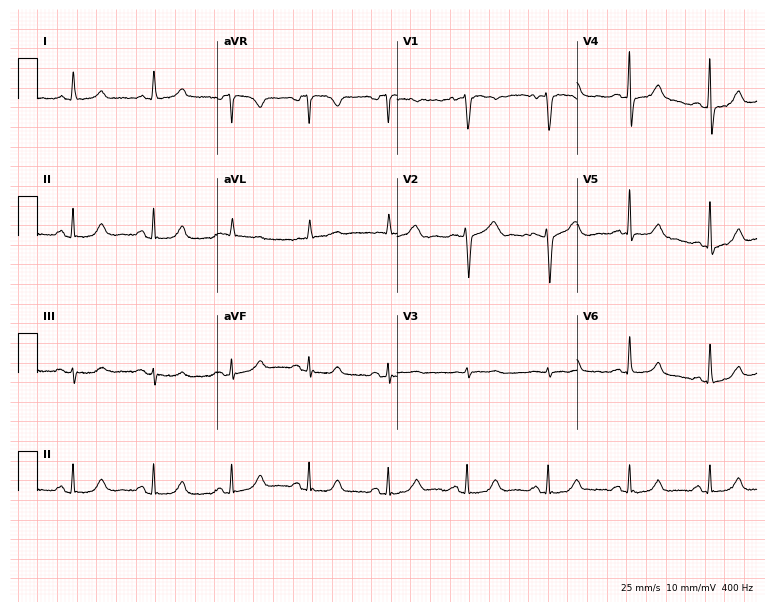
12-lead ECG from a woman, 67 years old. Labelled as a normal ECG.